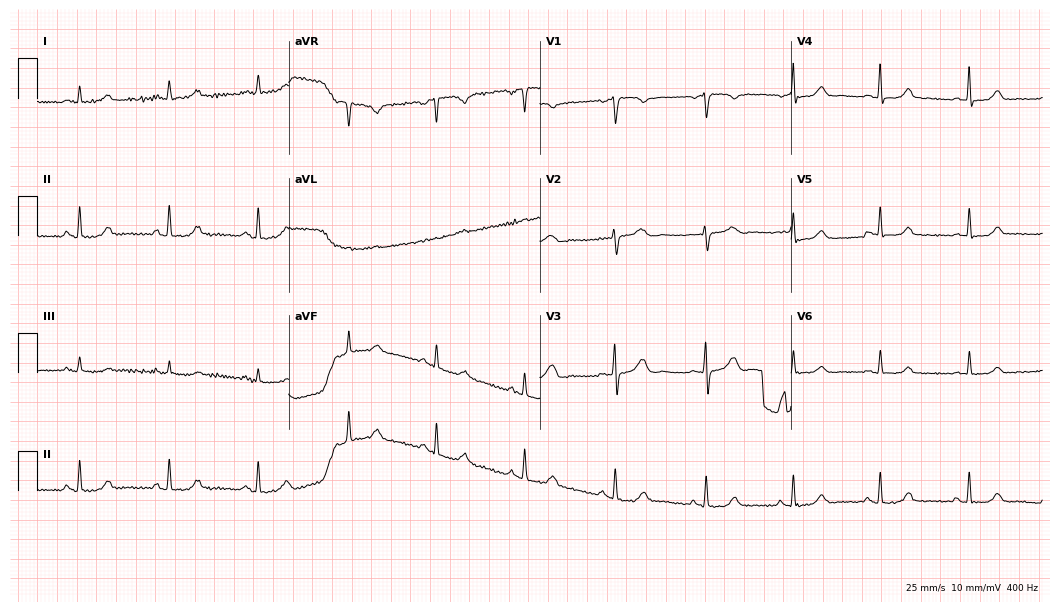
12-lead ECG from a woman, 44 years old. Labelled as a normal ECG.